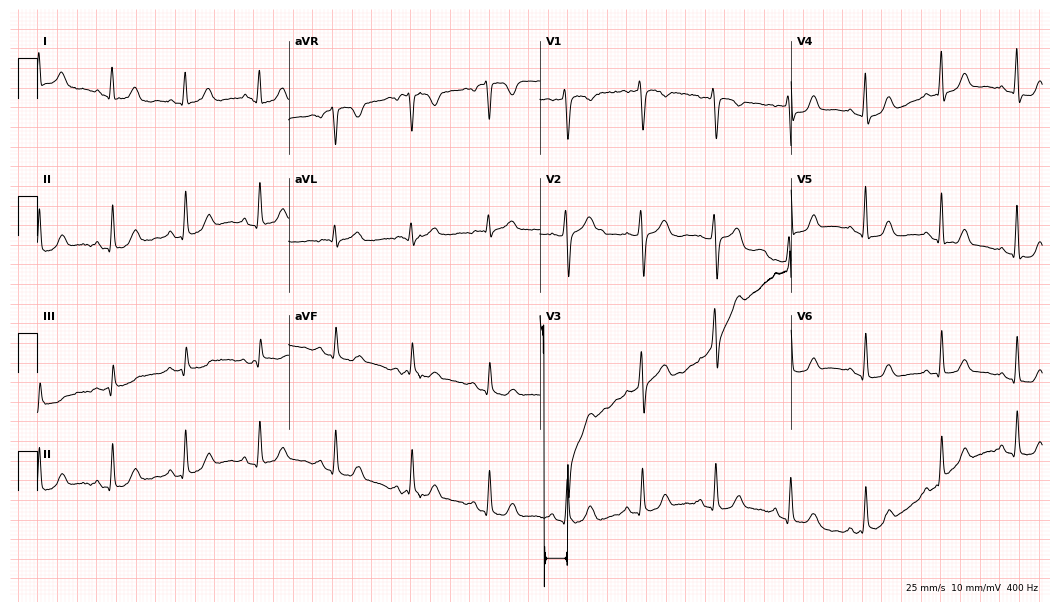
ECG (10.2-second recording at 400 Hz) — a 63-year-old female. Labelled as a normal ECG.